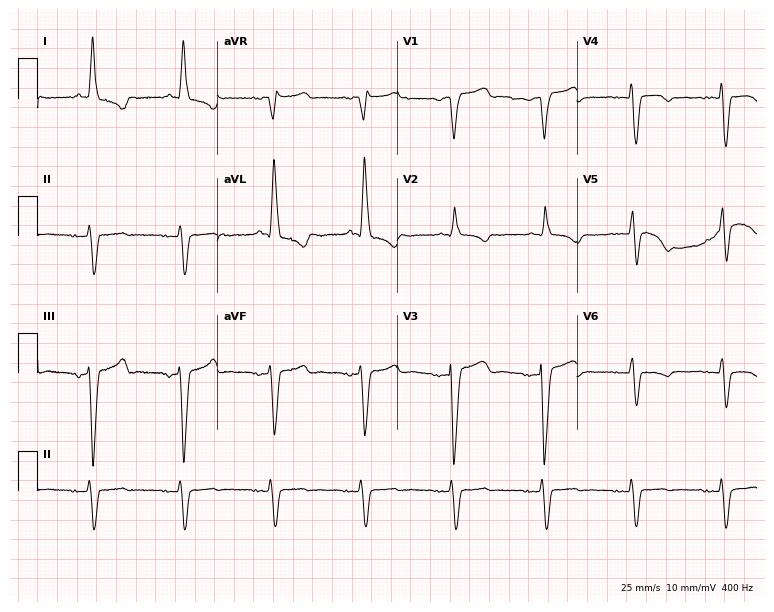
12-lead ECG from a 77-year-old male patient. Findings include left bundle branch block (LBBB).